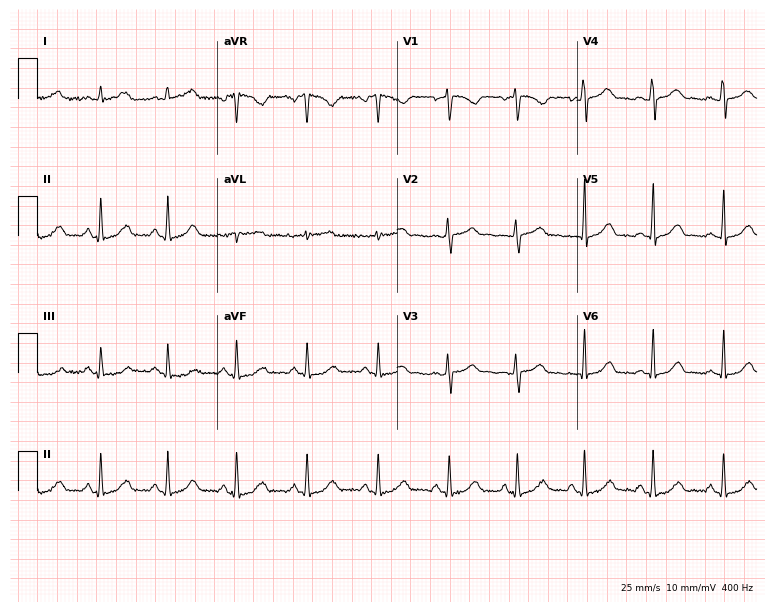
12-lead ECG (7.3-second recording at 400 Hz) from a 35-year-old woman. Labelled as a normal ECG.